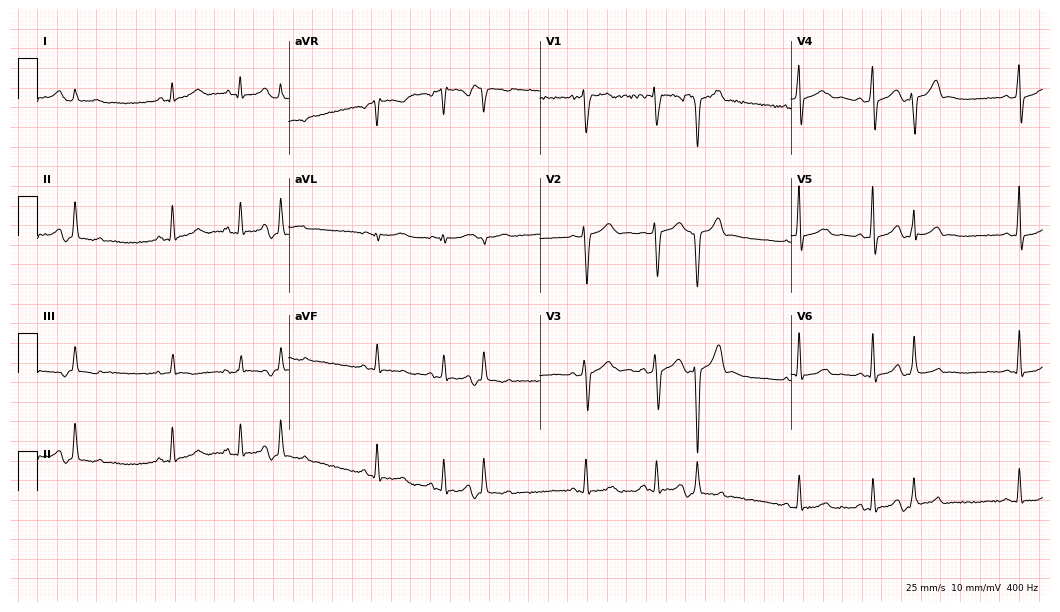
Standard 12-lead ECG recorded from a 22-year-old man. None of these six findings is recorded: first-degree AV block, right bundle branch block (RBBB), left bundle branch block (LBBB), sinus bradycardia, atrial fibrillation (AF), sinus tachycardia. Findings outside these six are not listed.